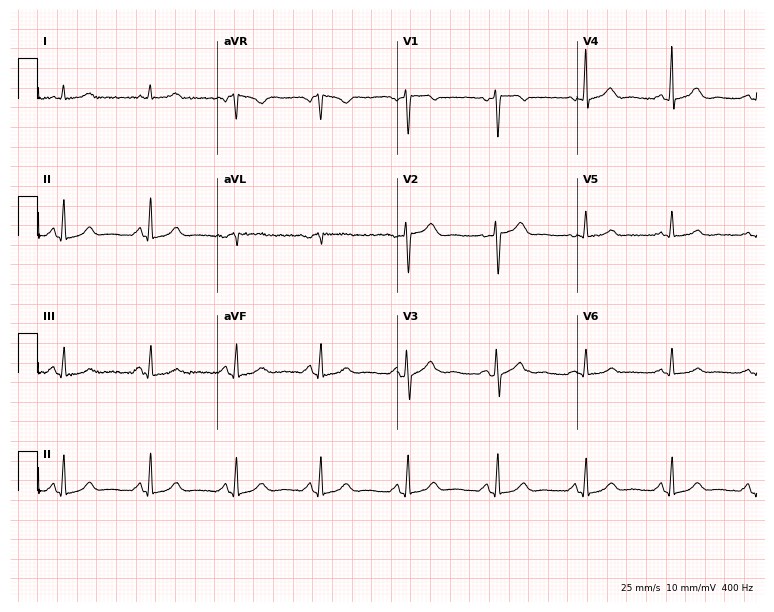
ECG (7.3-second recording at 400 Hz) — a 47-year-old woman. Labelled as a normal ECG.